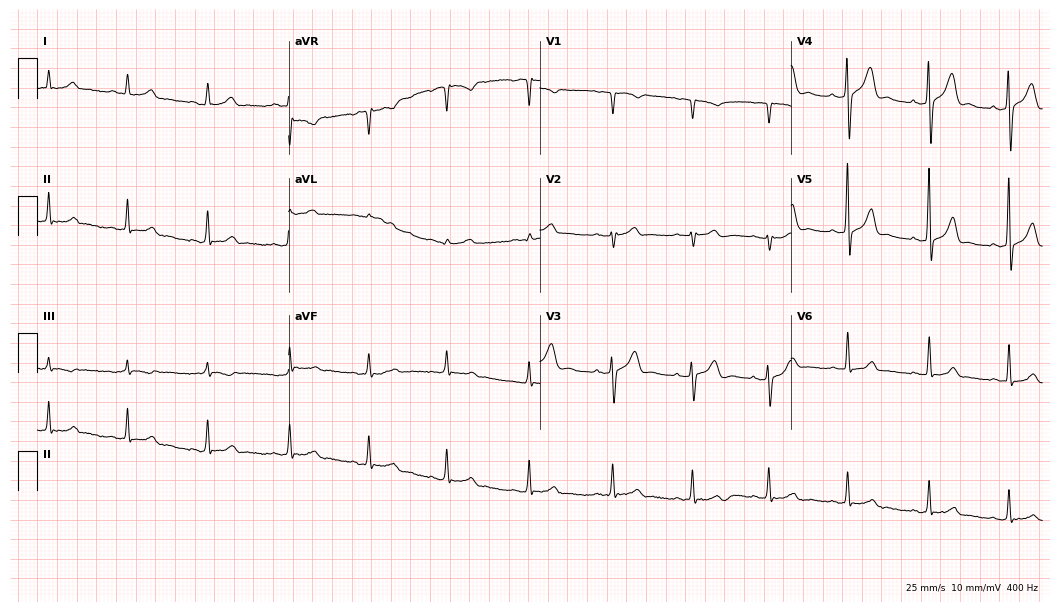
12-lead ECG from a man, 39 years old (10.2-second recording at 400 Hz). Recorded interpretation: within normal limits.